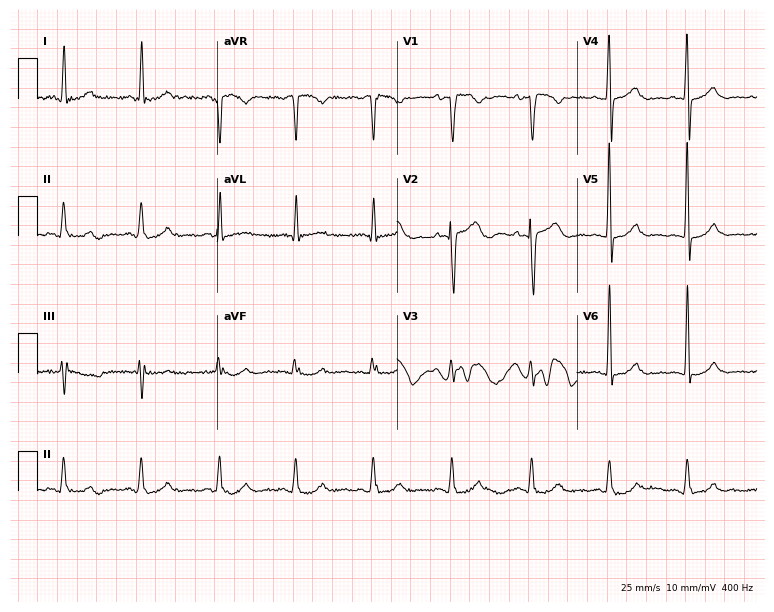
Standard 12-lead ECG recorded from a female patient, 40 years old (7.3-second recording at 400 Hz). None of these six findings is recorded: first-degree AV block, right bundle branch block (RBBB), left bundle branch block (LBBB), sinus bradycardia, atrial fibrillation (AF), sinus tachycardia.